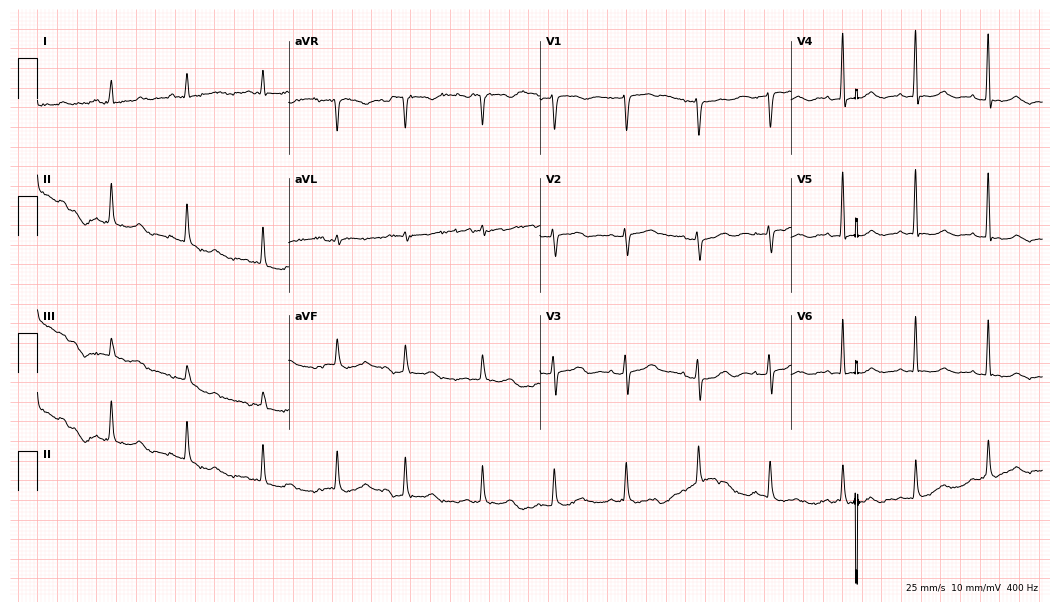
Electrocardiogram, a female patient, 78 years old. Of the six screened findings (first-degree AV block, right bundle branch block, left bundle branch block, sinus bradycardia, atrial fibrillation, sinus tachycardia), none is recorded.